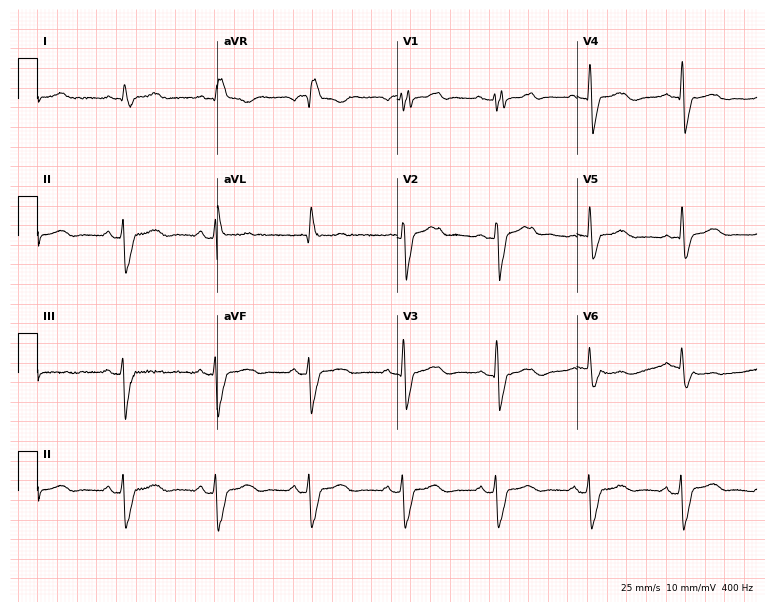
Resting 12-lead electrocardiogram. Patient: a 72-year-old male. The tracing shows right bundle branch block.